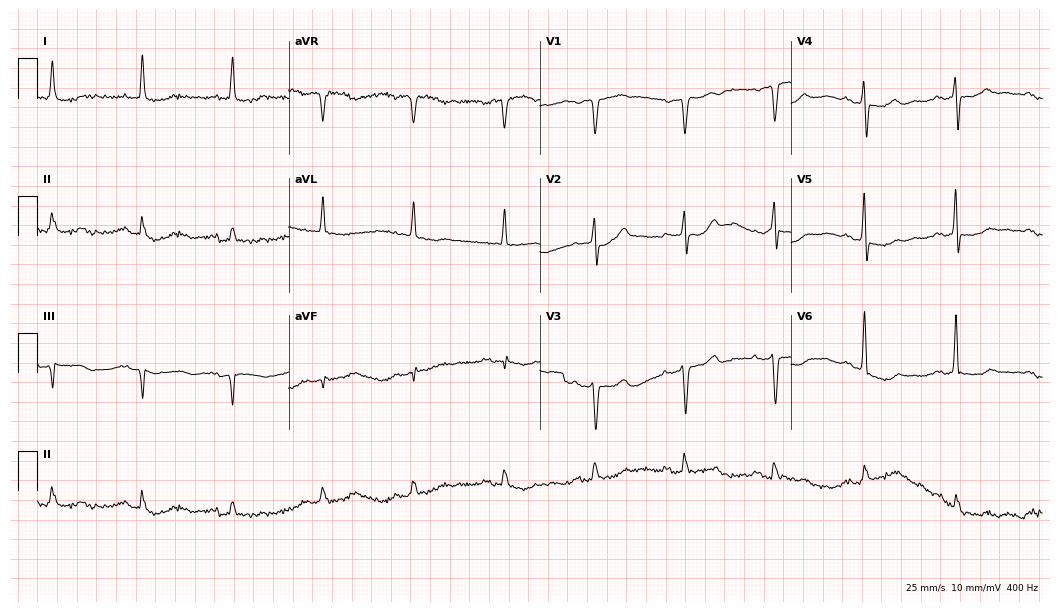
Standard 12-lead ECG recorded from a 73-year-old female patient. None of these six findings is recorded: first-degree AV block, right bundle branch block (RBBB), left bundle branch block (LBBB), sinus bradycardia, atrial fibrillation (AF), sinus tachycardia.